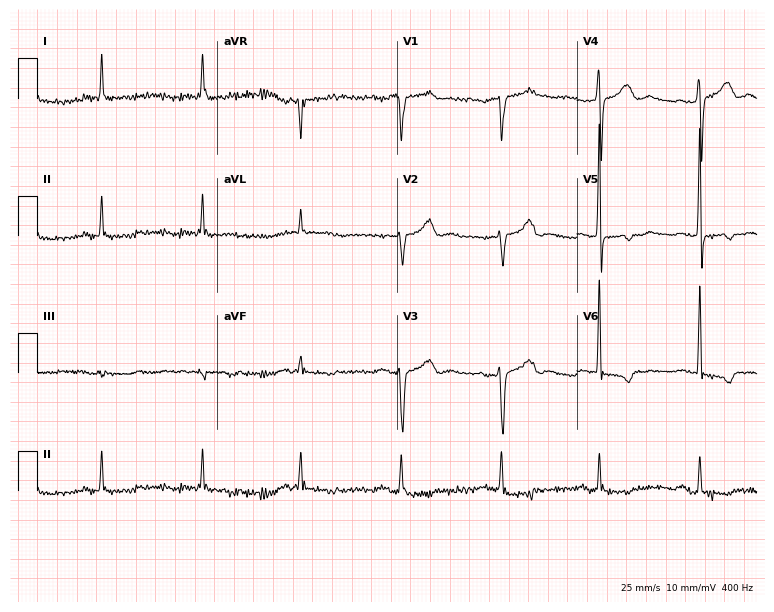
Resting 12-lead electrocardiogram (7.3-second recording at 400 Hz). Patient: an 82-year-old man. None of these six findings is recorded: first-degree AV block, right bundle branch block, left bundle branch block, sinus bradycardia, atrial fibrillation, sinus tachycardia. Only these six findings were labelled.